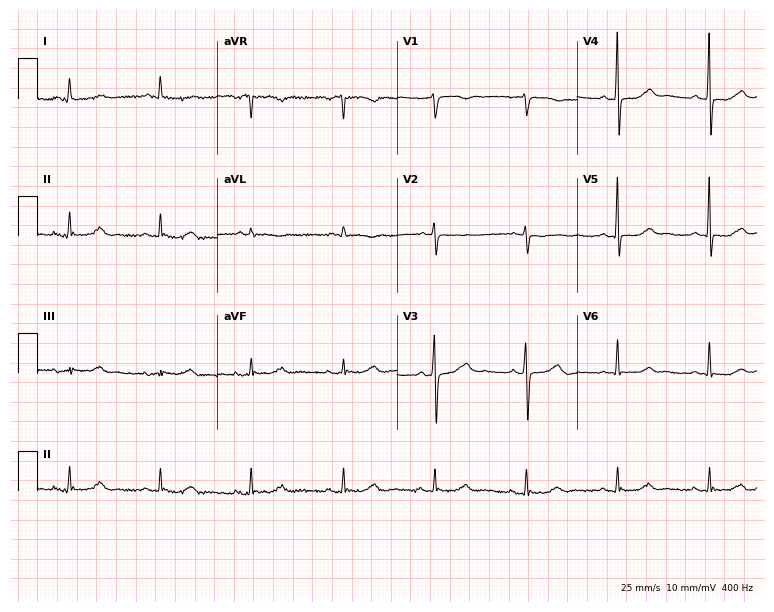
12-lead ECG from an 80-year-old male patient. Recorded interpretation: within normal limits.